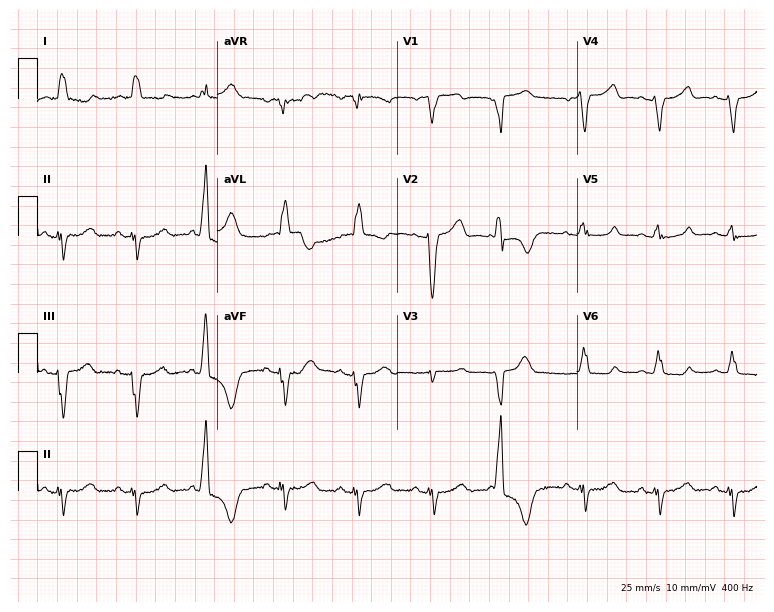
12-lead ECG from a female, 23 years old (7.3-second recording at 400 Hz). Shows left bundle branch block.